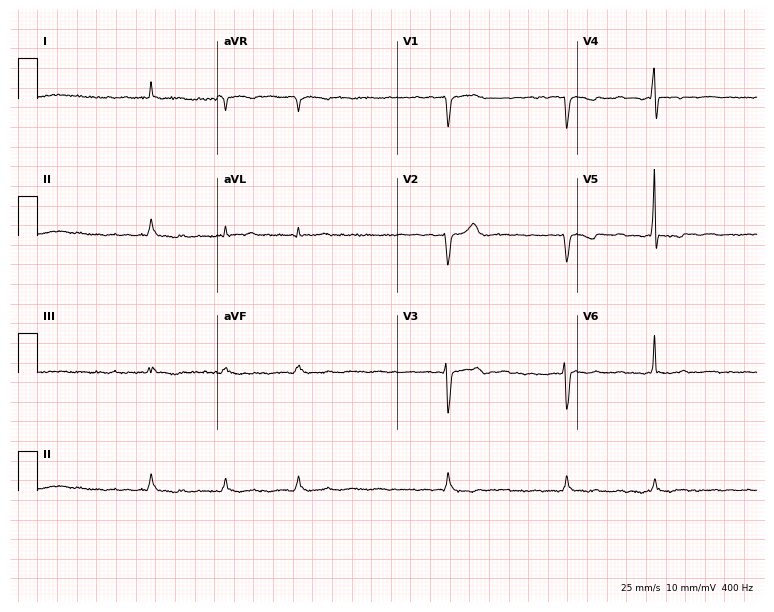
Electrocardiogram, a male patient, 57 years old. Interpretation includes atrial fibrillation (AF).